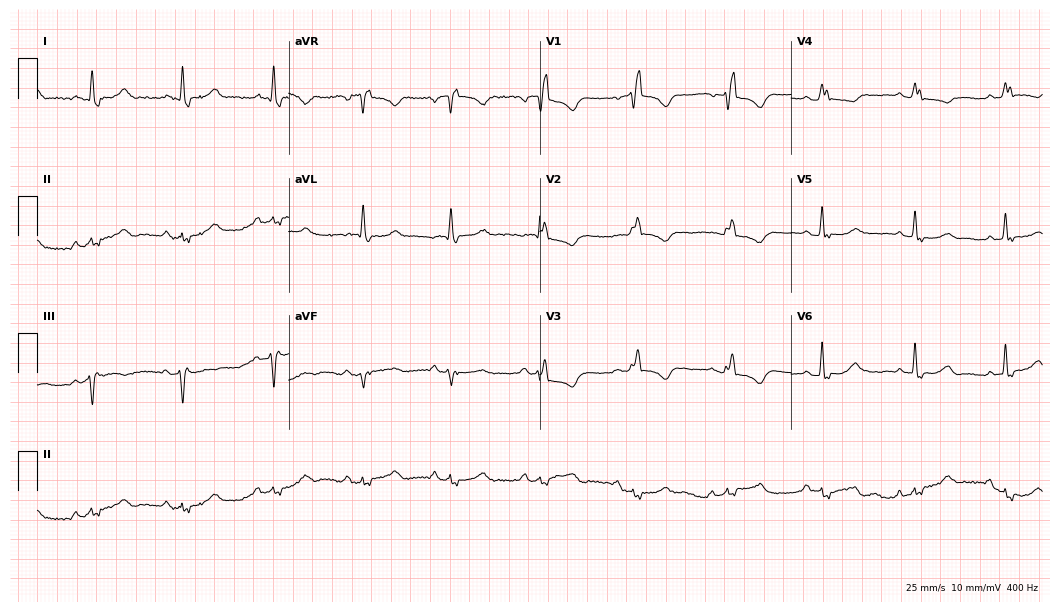
12-lead ECG (10.2-second recording at 400 Hz) from a female, 65 years old. Findings include right bundle branch block (RBBB).